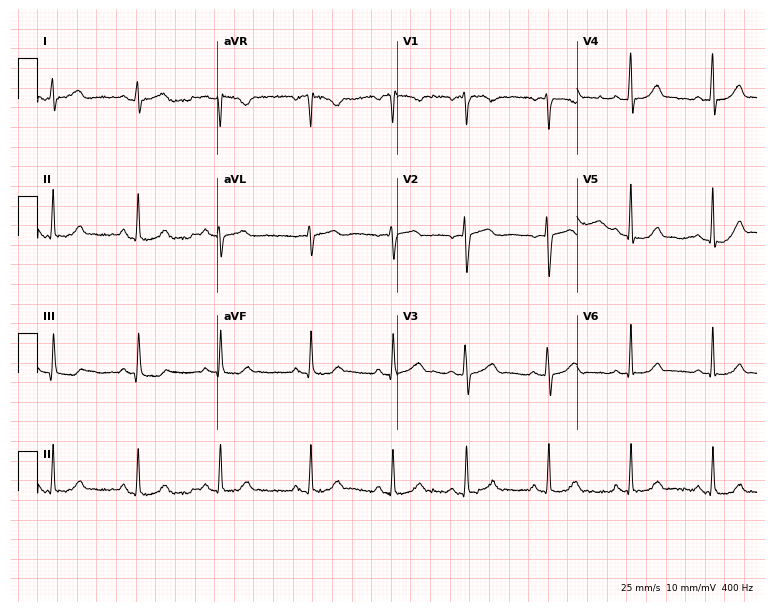
Standard 12-lead ECG recorded from a female patient, 30 years old (7.3-second recording at 400 Hz). Read as a normal ECG.